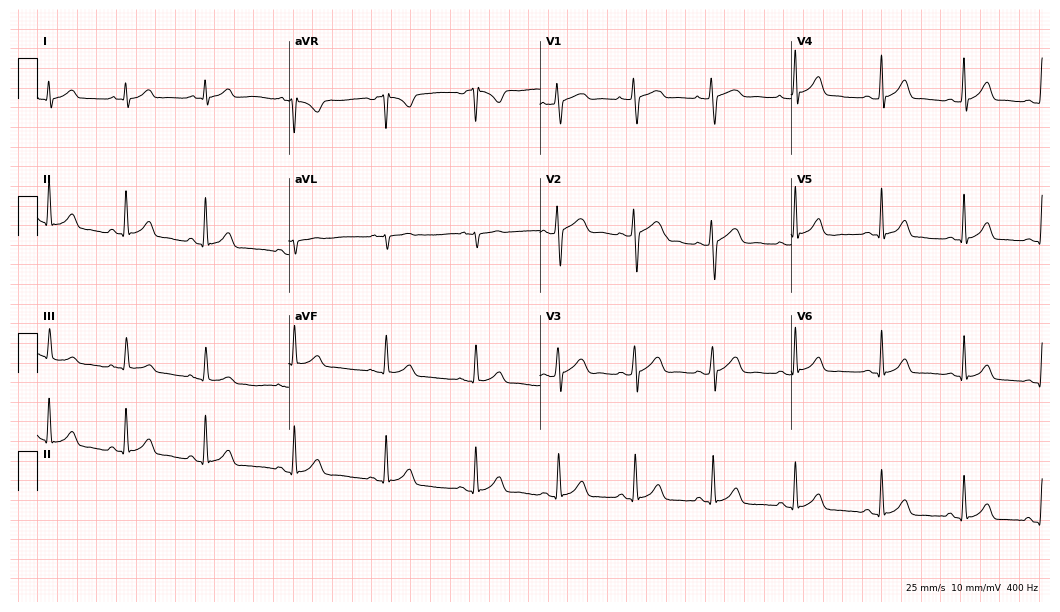
12-lead ECG from a woman, 17 years old (10.2-second recording at 400 Hz). Recorded interpretation: within normal limits.